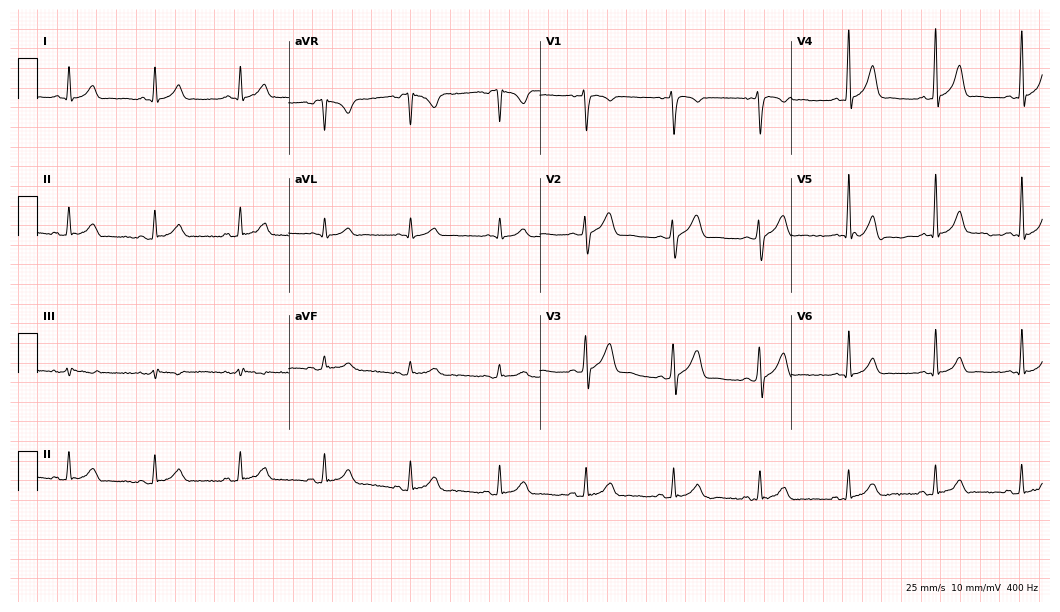
ECG (10.2-second recording at 400 Hz) — a man, 42 years old. Labelled as a normal ECG.